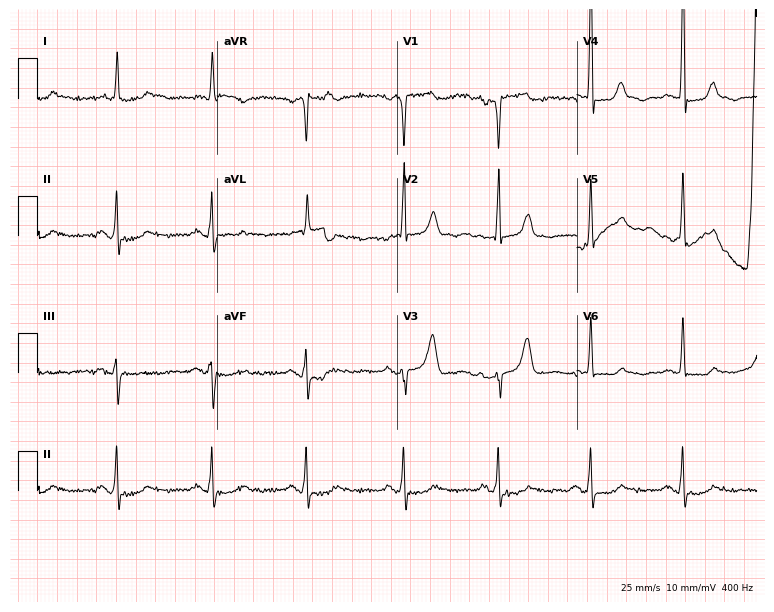
Standard 12-lead ECG recorded from a woman, 85 years old. None of these six findings is recorded: first-degree AV block, right bundle branch block (RBBB), left bundle branch block (LBBB), sinus bradycardia, atrial fibrillation (AF), sinus tachycardia.